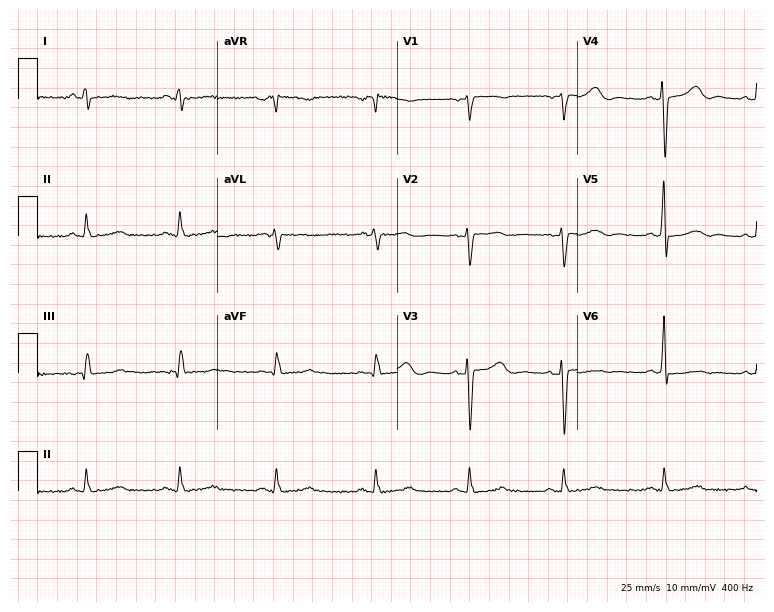
Standard 12-lead ECG recorded from a 52-year-old female. None of these six findings is recorded: first-degree AV block, right bundle branch block, left bundle branch block, sinus bradycardia, atrial fibrillation, sinus tachycardia.